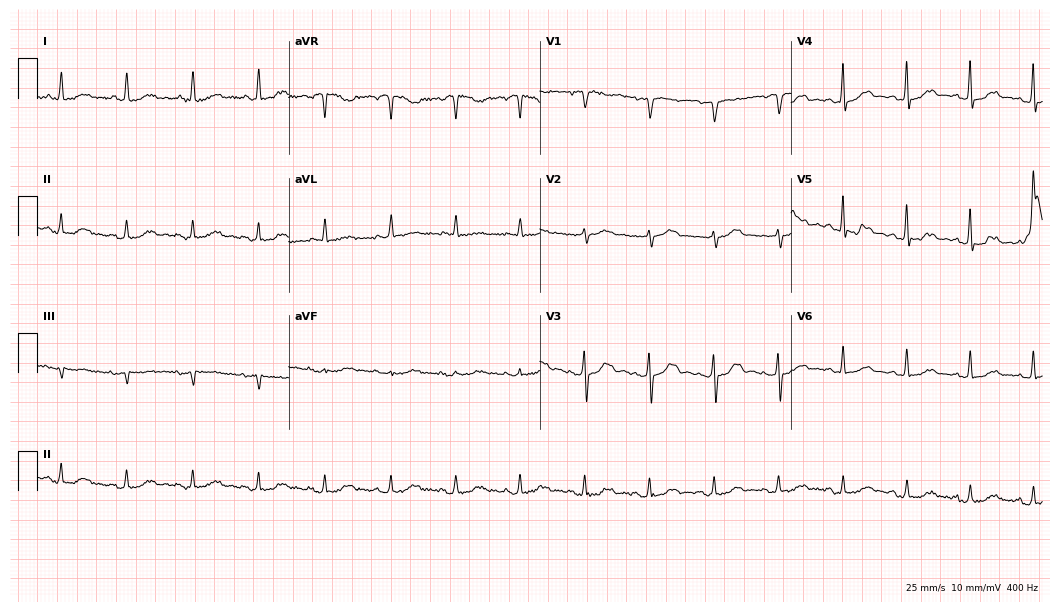
12-lead ECG (10.2-second recording at 400 Hz) from a female patient, 77 years old. Screened for six findings — first-degree AV block, right bundle branch block, left bundle branch block, sinus bradycardia, atrial fibrillation, sinus tachycardia — none is recorded. Other findings, if any, are not listed.